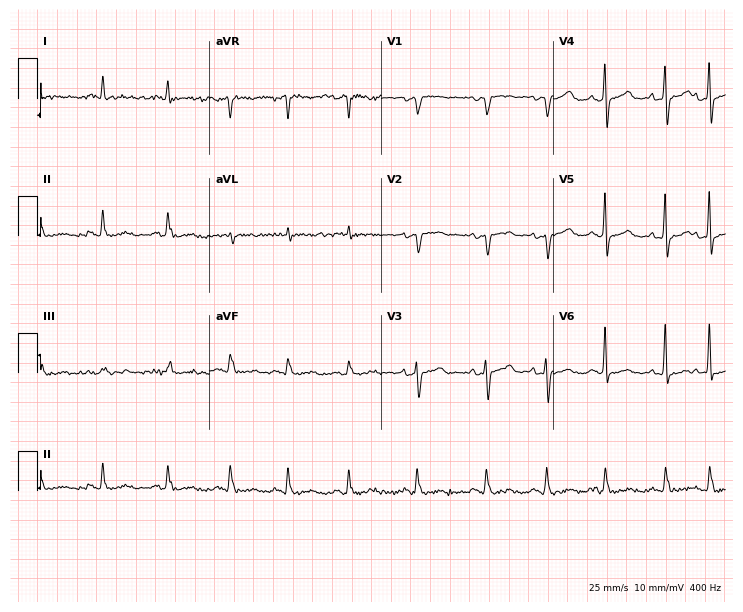
Resting 12-lead electrocardiogram. Patient: a 69-year-old female. None of these six findings is recorded: first-degree AV block, right bundle branch block, left bundle branch block, sinus bradycardia, atrial fibrillation, sinus tachycardia. Findings outside these six are not listed.